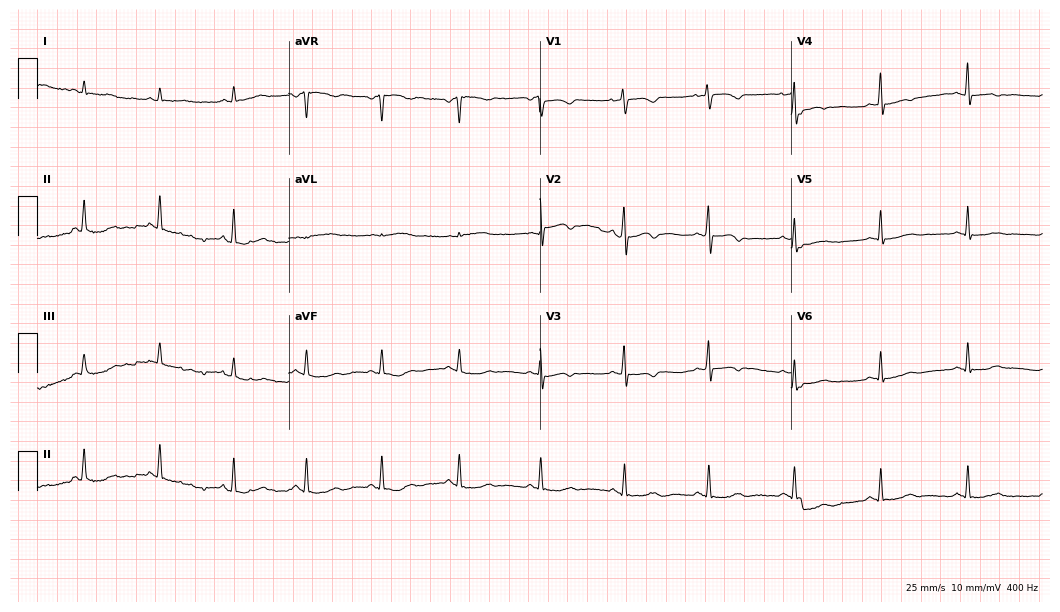
Electrocardiogram (10.2-second recording at 400 Hz), a 45-year-old female patient. Of the six screened findings (first-degree AV block, right bundle branch block, left bundle branch block, sinus bradycardia, atrial fibrillation, sinus tachycardia), none is recorded. Only these six findings were labelled.